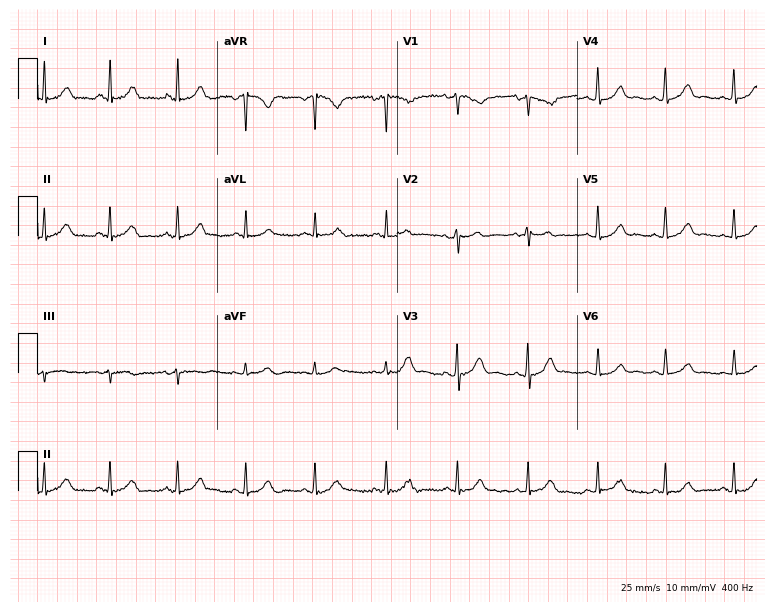
Standard 12-lead ECG recorded from a 46-year-old female (7.3-second recording at 400 Hz). Read as a normal ECG.